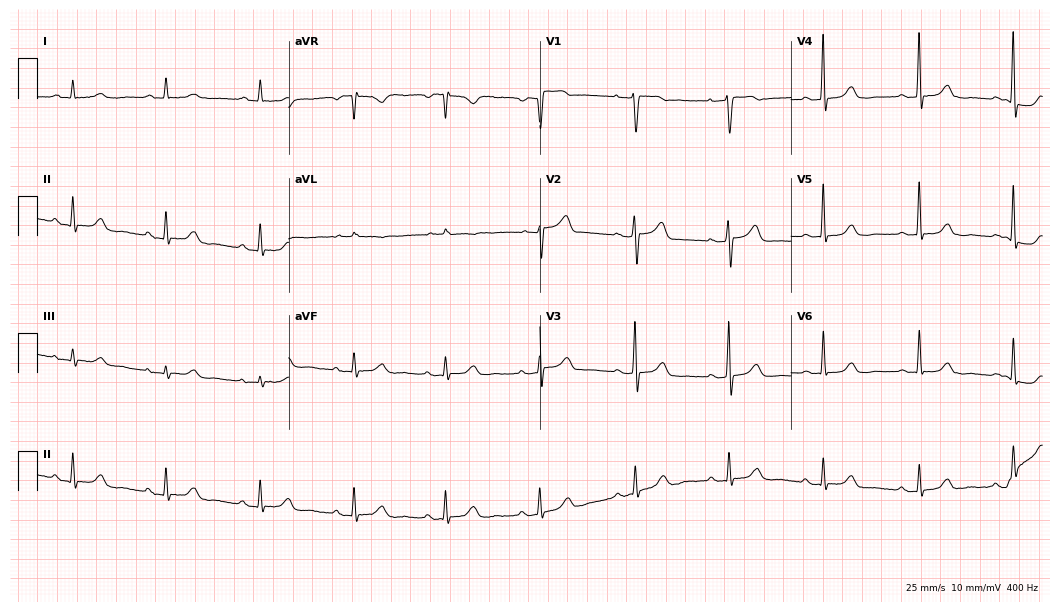
12-lead ECG from a woman, 78 years old. Labelled as a normal ECG.